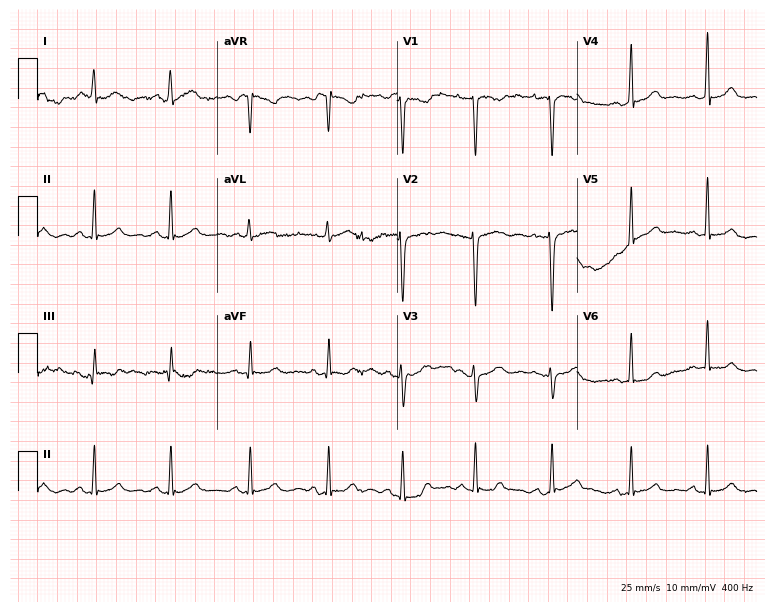
12-lead ECG (7.3-second recording at 400 Hz) from a woman, 25 years old. Screened for six findings — first-degree AV block, right bundle branch block, left bundle branch block, sinus bradycardia, atrial fibrillation, sinus tachycardia — none is recorded.